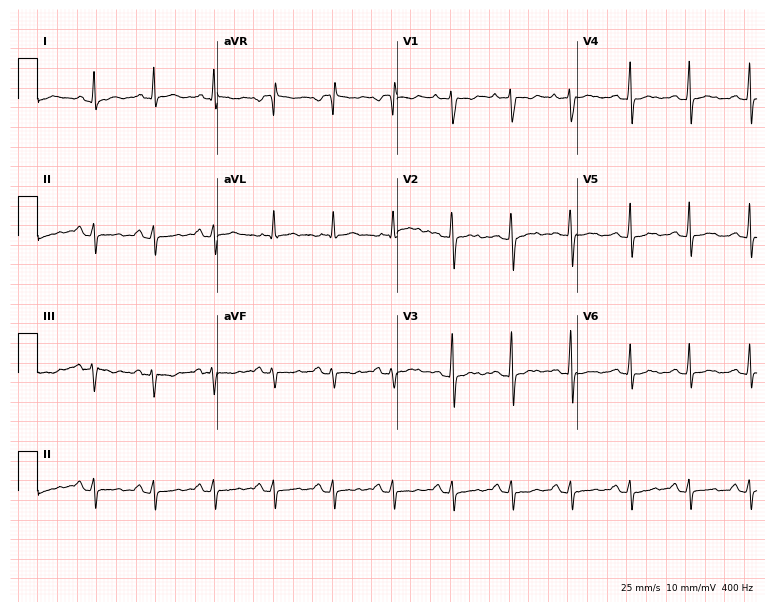
Electrocardiogram, a 21-year-old woman. Of the six screened findings (first-degree AV block, right bundle branch block (RBBB), left bundle branch block (LBBB), sinus bradycardia, atrial fibrillation (AF), sinus tachycardia), none is recorded. Findings outside these six are not listed.